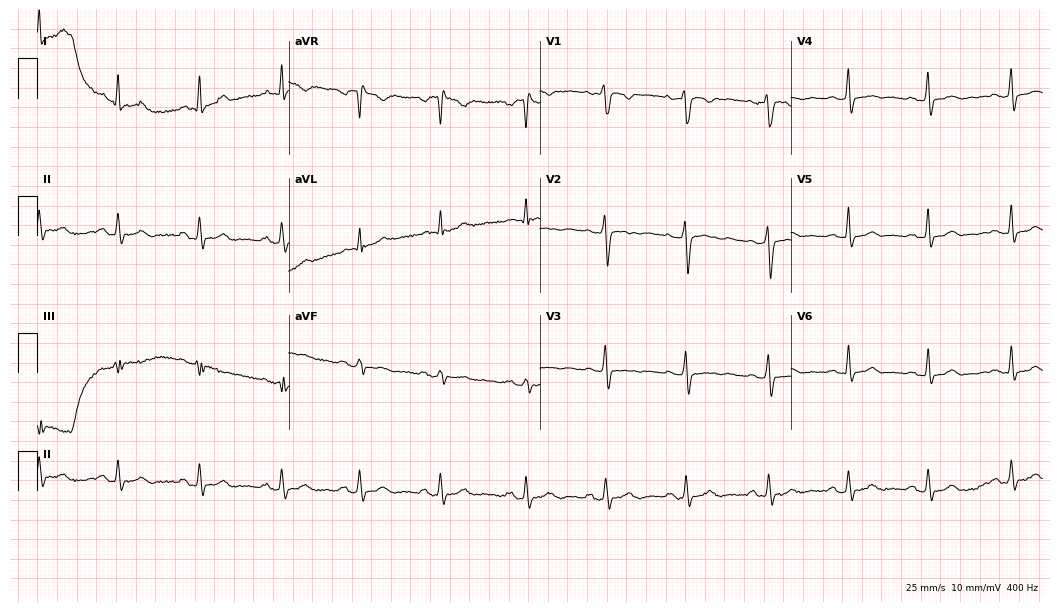
Standard 12-lead ECG recorded from a 20-year-old female patient. None of these six findings is recorded: first-degree AV block, right bundle branch block, left bundle branch block, sinus bradycardia, atrial fibrillation, sinus tachycardia.